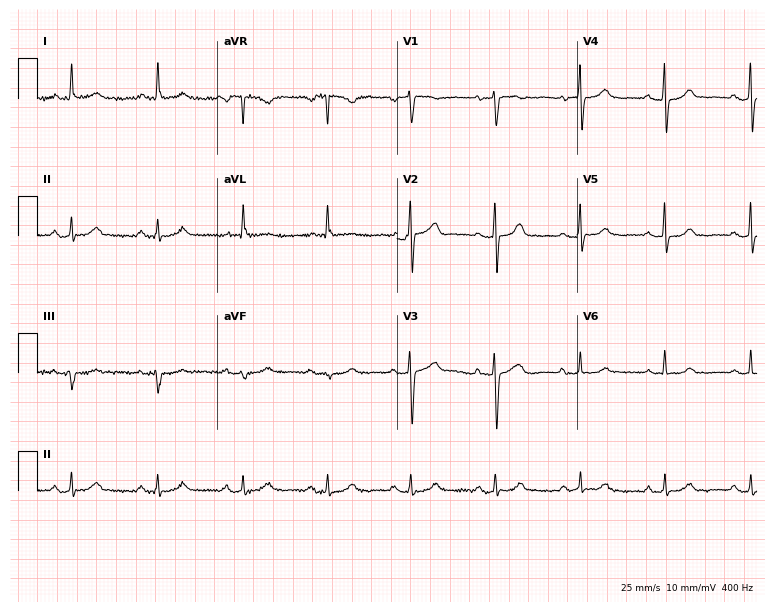
12-lead ECG from a 69-year-old female. Recorded interpretation: within normal limits.